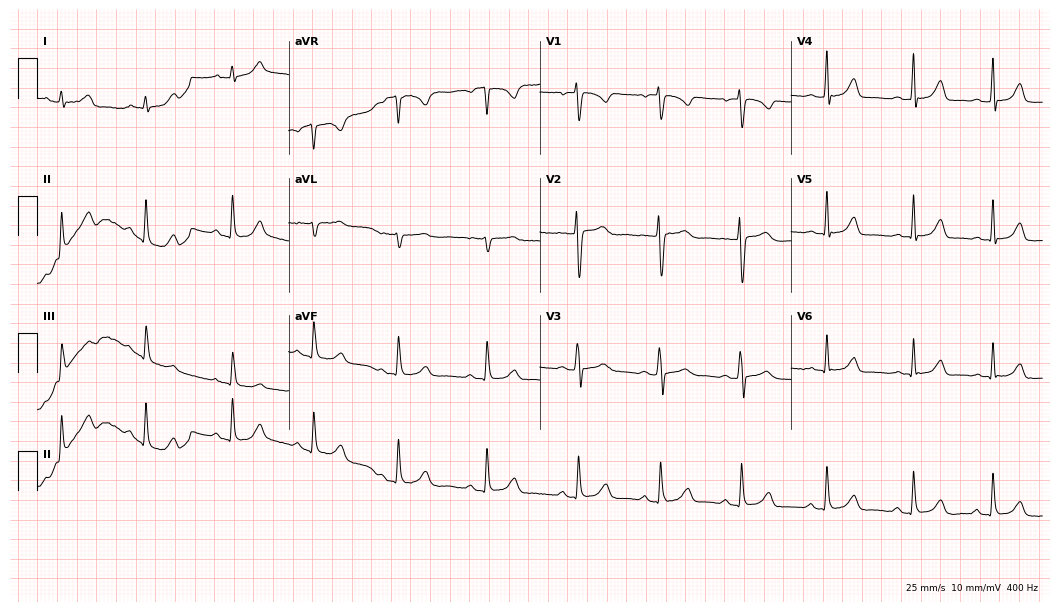
Electrocardiogram, a 28-year-old female. Of the six screened findings (first-degree AV block, right bundle branch block, left bundle branch block, sinus bradycardia, atrial fibrillation, sinus tachycardia), none is recorded. Other findings, if any, are not listed.